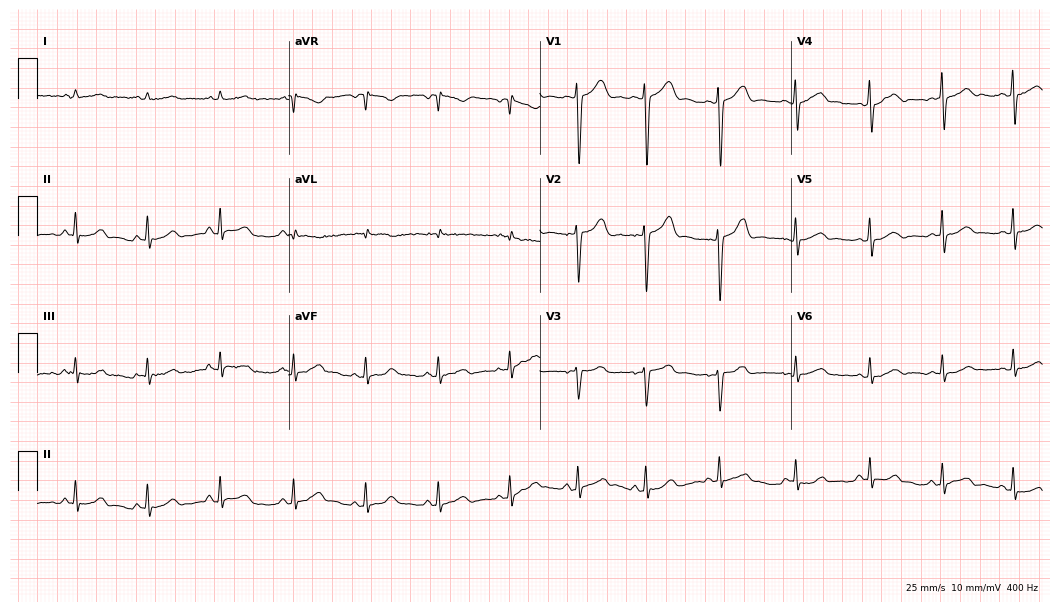
12-lead ECG from a 35-year-old female. Screened for six findings — first-degree AV block, right bundle branch block (RBBB), left bundle branch block (LBBB), sinus bradycardia, atrial fibrillation (AF), sinus tachycardia — none is recorded. Findings outside these six are not listed.